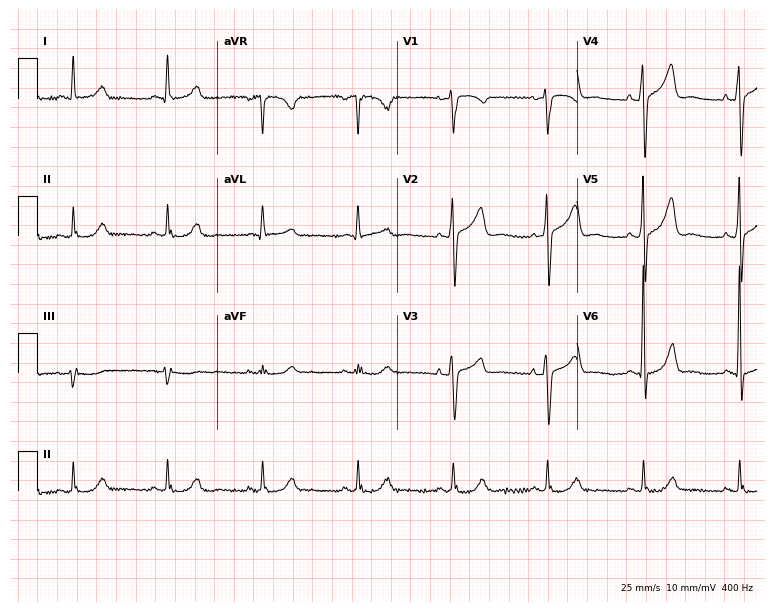
Standard 12-lead ECG recorded from a 59-year-old male. Read as a normal ECG.